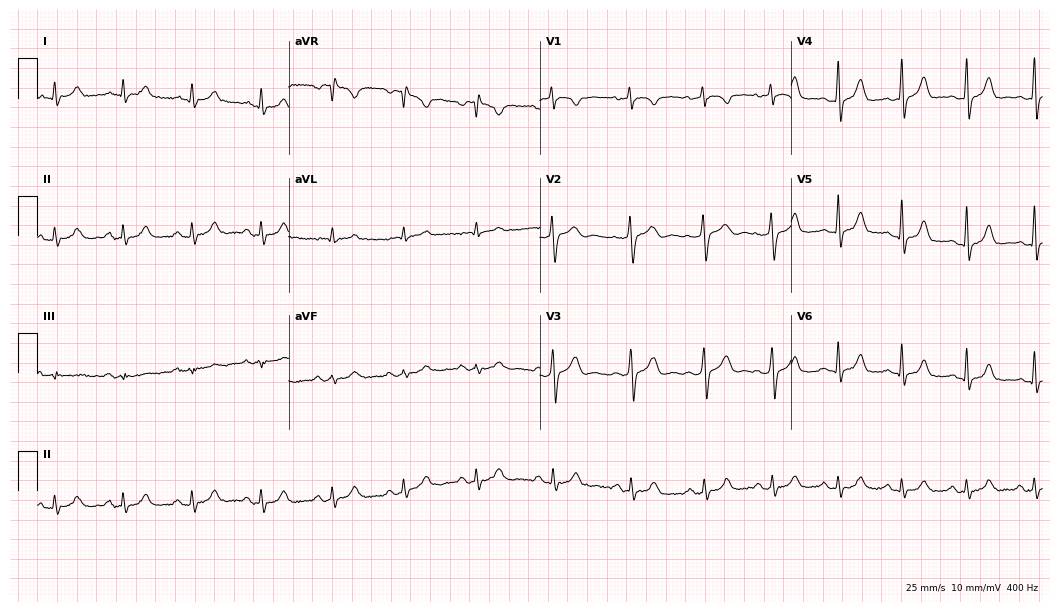
12-lead ECG (10.2-second recording at 400 Hz) from a 46-year-old male patient. Labelled as a normal ECG.